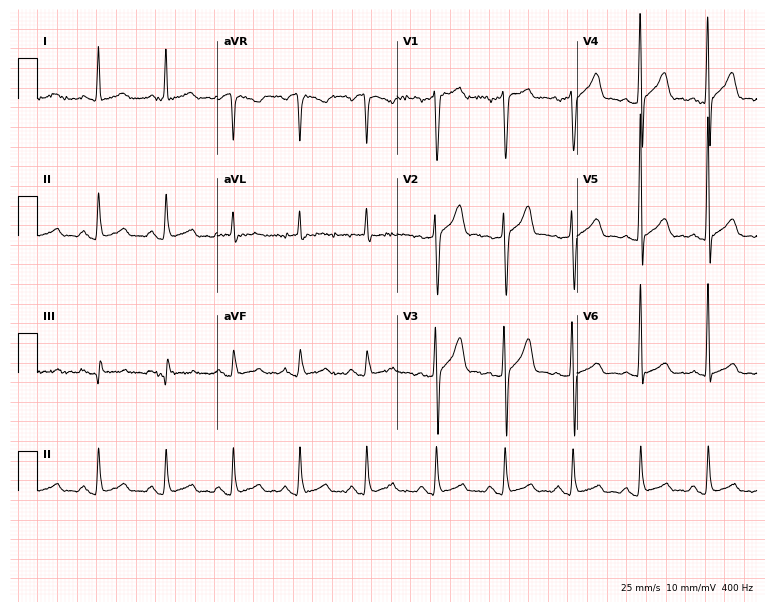
ECG — a man, 45 years old. Screened for six findings — first-degree AV block, right bundle branch block, left bundle branch block, sinus bradycardia, atrial fibrillation, sinus tachycardia — none is recorded.